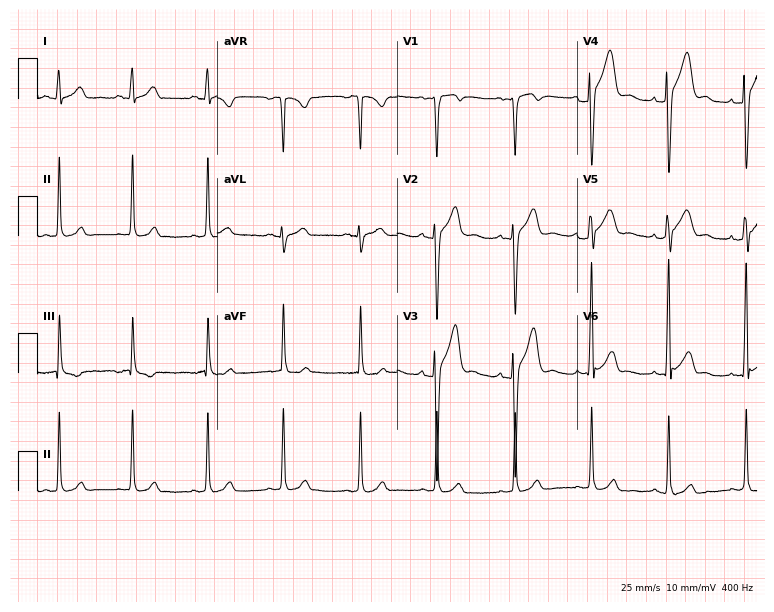
12-lead ECG from a 22-year-old male (7.3-second recording at 400 Hz). Recorded interpretation: within normal limits.